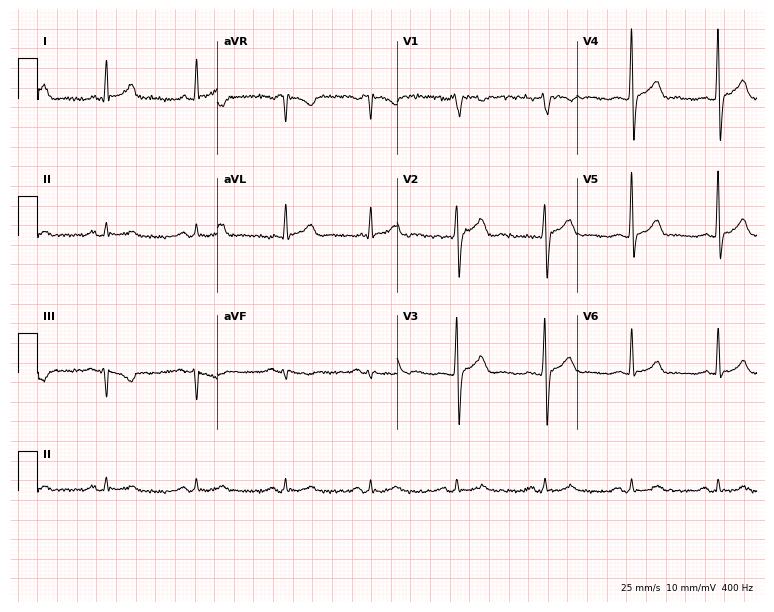
12-lead ECG from a male patient, 37 years old (7.3-second recording at 400 Hz). No first-degree AV block, right bundle branch block, left bundle branch block, sinus bradycardia, atrial fibrillation or sinus tachycardia recorded for this tracing. Findings outside these six are not listed.